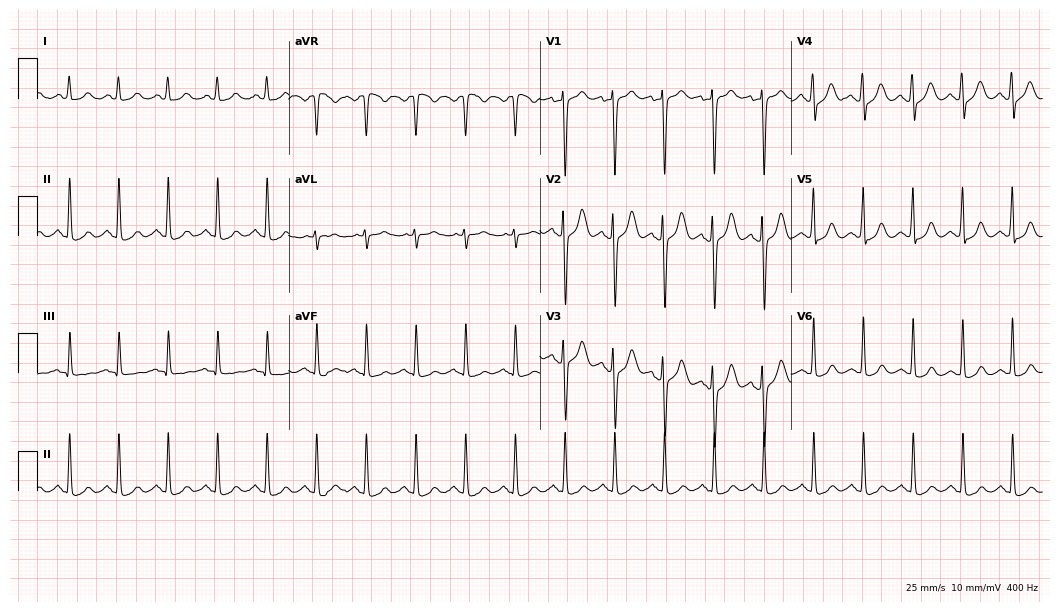
Standard 12-lead ECG recorded from a 32-year-old female patient. The tracing shows sinus tachycardia (a sinus rate of 100 beats per minute or more).